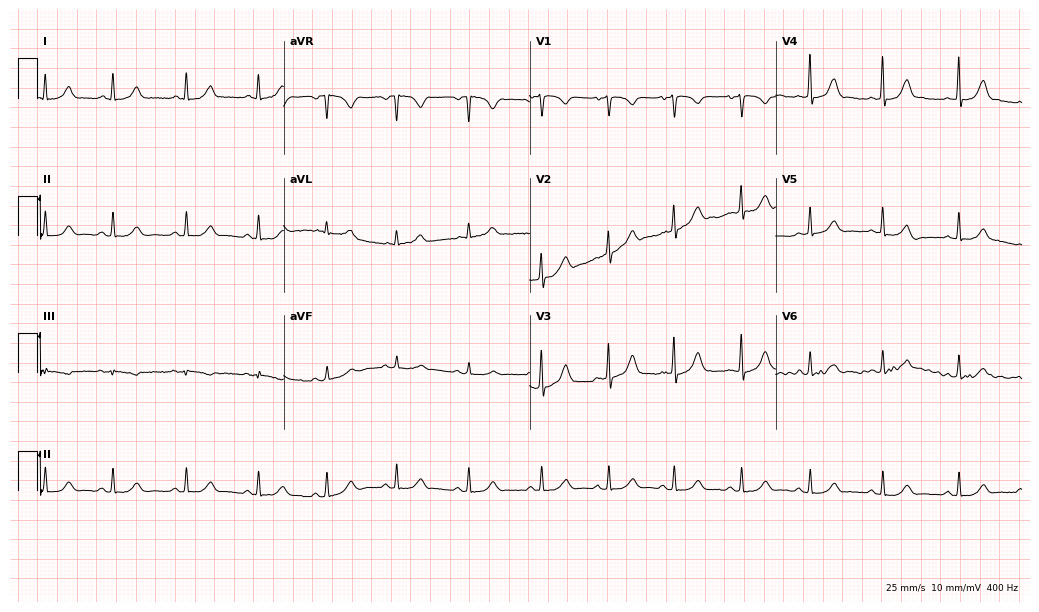
Electrocardiogram, a female, 29 years old. Overall reading on record: normal ECG.